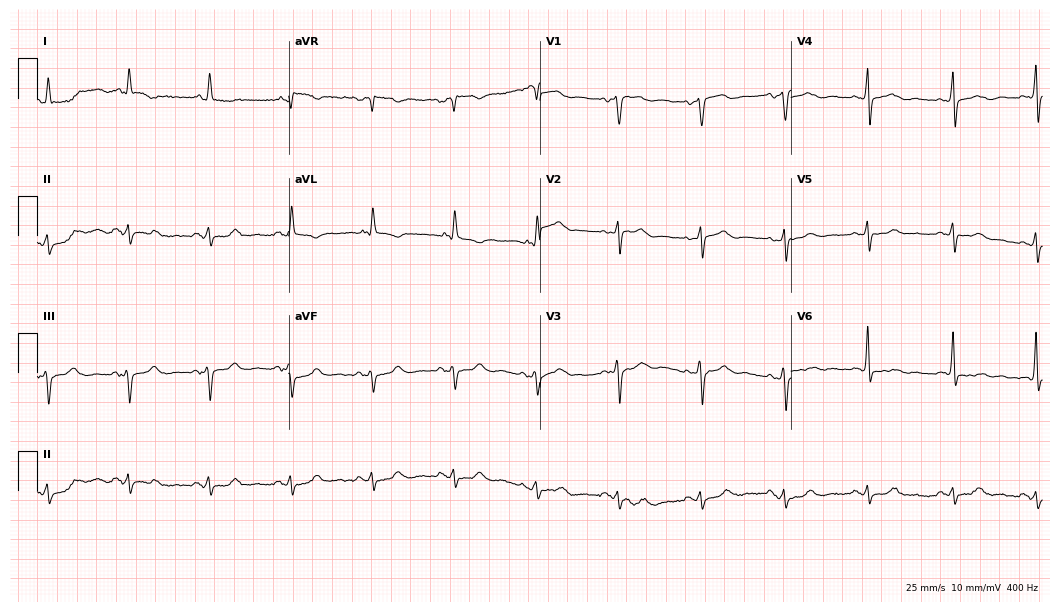
12-lead ECG from a 75-year-old female (10.2-second recording at 400 Hz). No first-degree AV block, right bundle branch block, left bundle branch block, sinus bradycardia, atrial fibrillation or sinus tachycardia recorded for this tracing. Only these six findings were labelled.